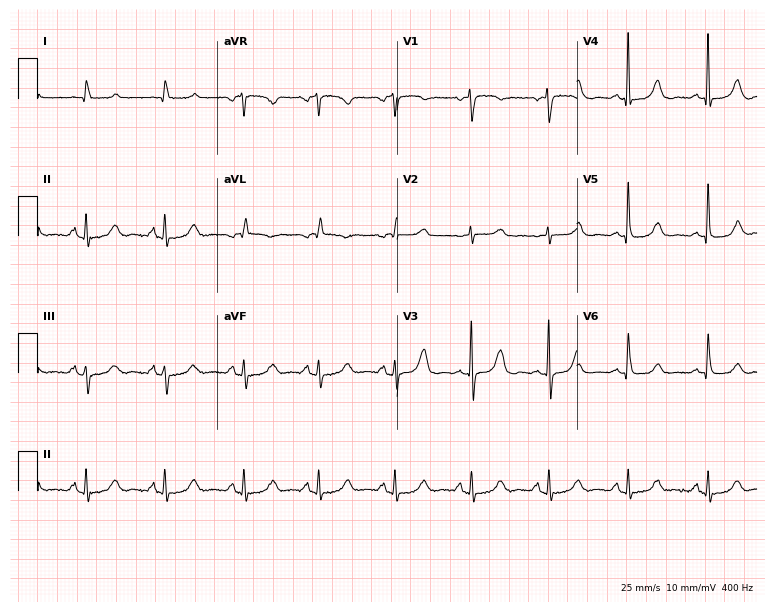
Resting 12-lead electrocardiogram. Patient: a female, 70 years old. Read as a normal ECG.